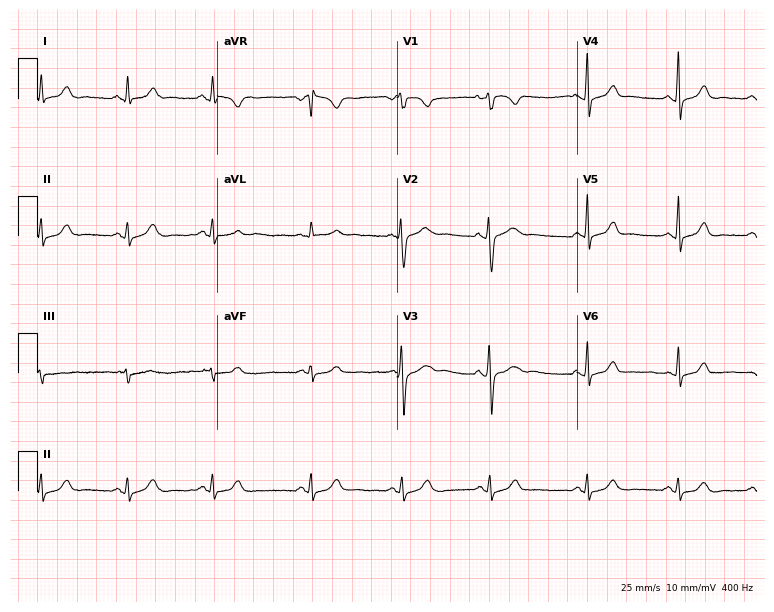
Standard 12-lead ECG recorded from a female, 29 years old. Read as a normal ECG.